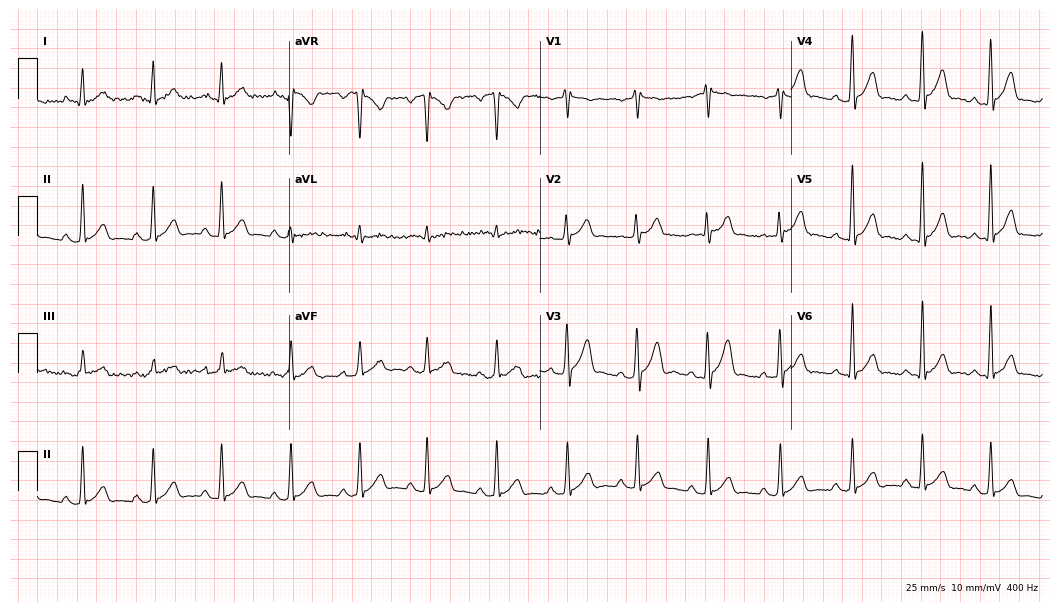
12-lead ECG (10.2-second recording at 400 Hz) from a 41-year-old male. Labelled as a normal ECG.